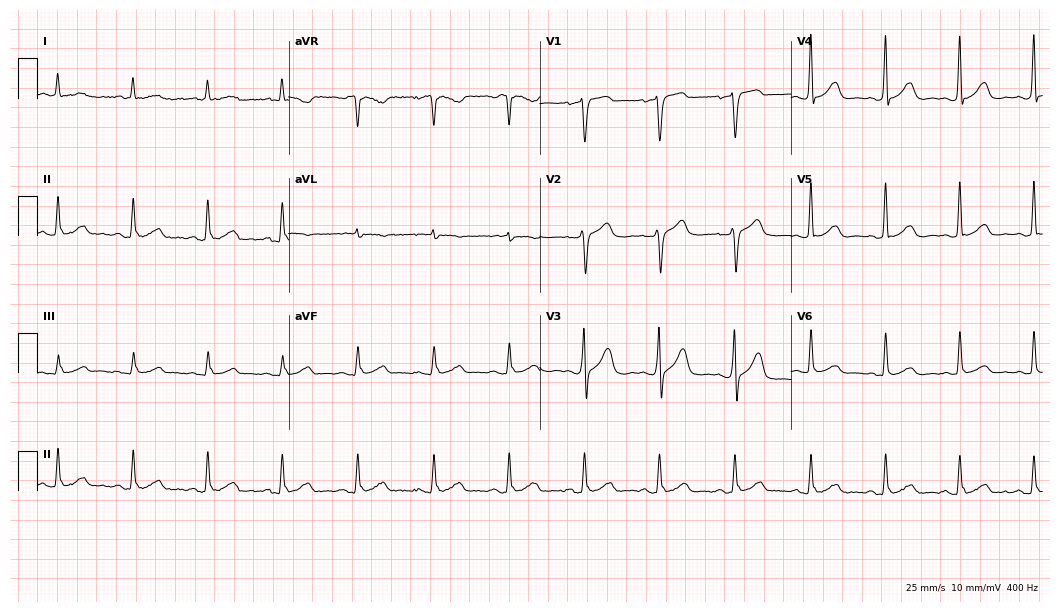
ECG — a male, 61 years old. Labelled as a normal ECG.